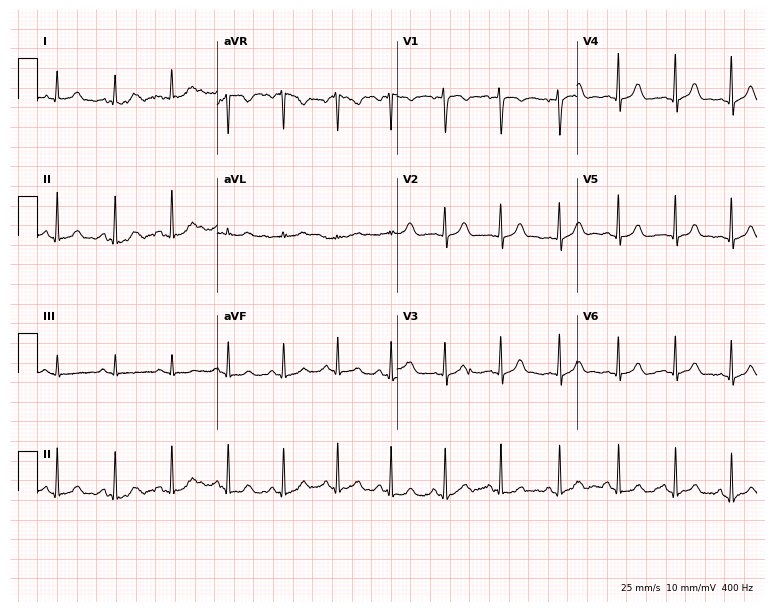
ECG — a female patient, 20 years old. Labelled as a normal ECG.